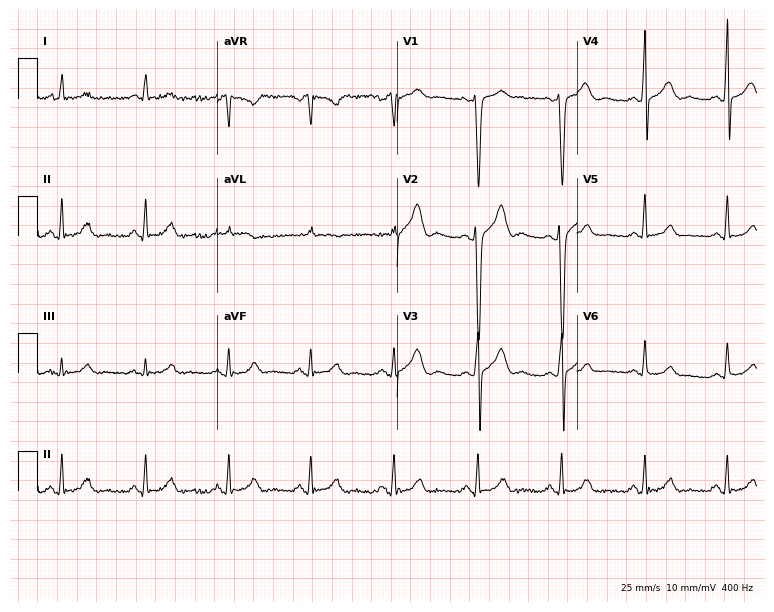
Standard 12-lead ECG recorded from a male patient, 38 years old (7.3-second recording at 400 Hz). None of these six findings is recorded: first-degree AV block, right bundle branch block (RBBB), left bundle branch block (LBBB), sinus bradycardia, atrial fibrillation (AF), sinus tachycardia.